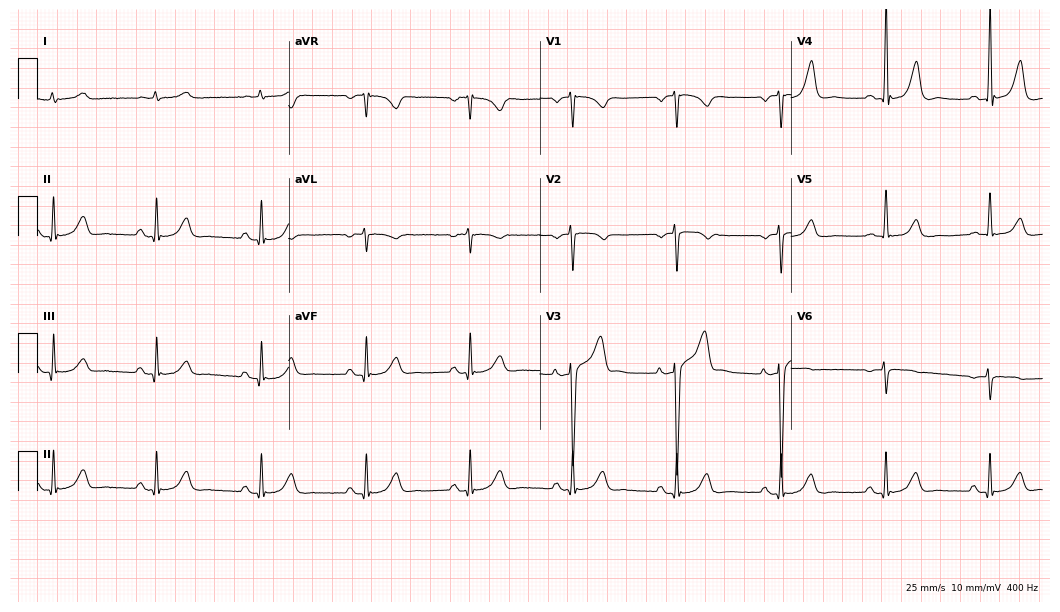
Electrocardiogram (10.2-second recording at 400 Hz), a 71-year-old man. Of the six screened findings (first-degree AV block, right bundle branch block, left bundle branch block, sinus bradycardia, atrial fibrillation, sinus tachycardia), none is recorded. Only these six findings were labelled.